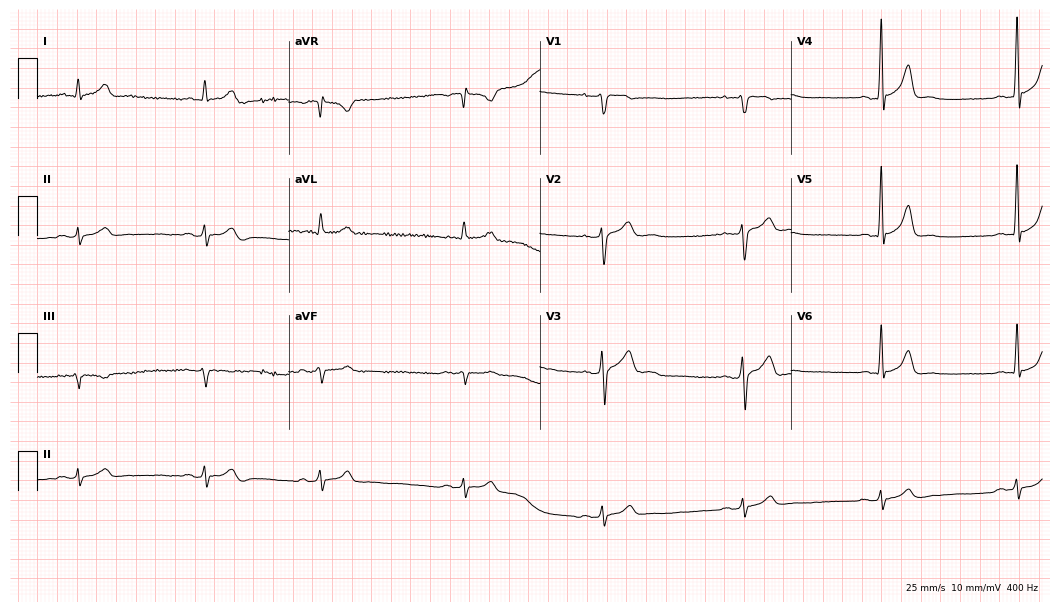
12-lead ECG from a male, 24 years old (10.2-second recording at 400 Hz). No first-degree AV block, right bundle branch block, left bundle branch block, sinus bradycardia, atrial fibrillation or sinus tachycardia recorded for this tracing.